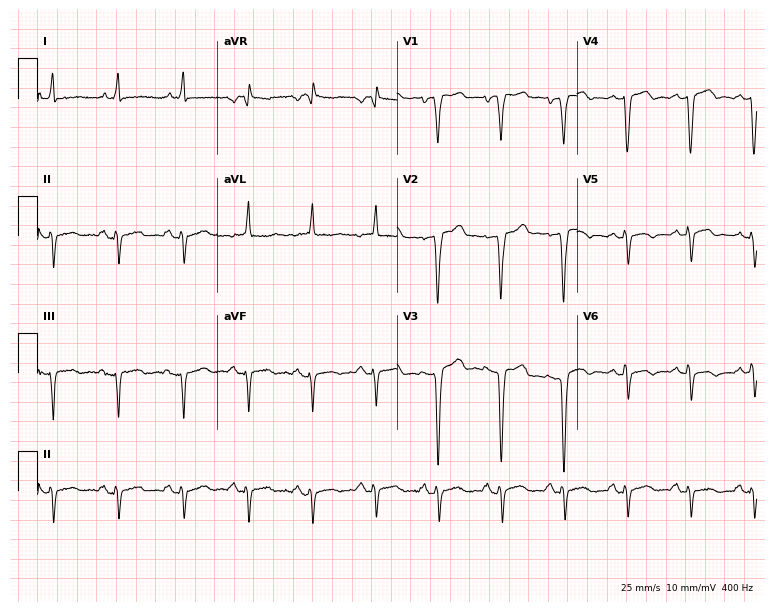
Electrocardiogram (7.3-second recording at 400 Hz), a 75-year-old female. Of the six screened findings (first-degree AV block, right bundle branch block, left bundle branch block, sinus bradycardia, atrial fibrillation, sinus tachycardia), none is recorded. Findings outside these six are not listed.